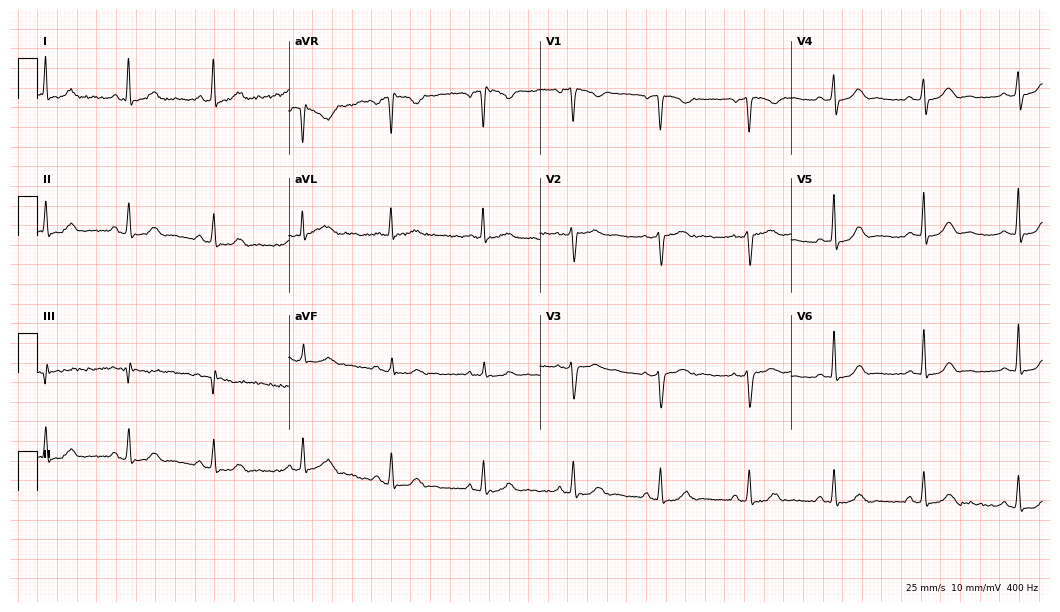
12-lead ECG (10.2-second recording at 400 Hz) from a female patient, 30 years old. Labelled as a normal ECG.